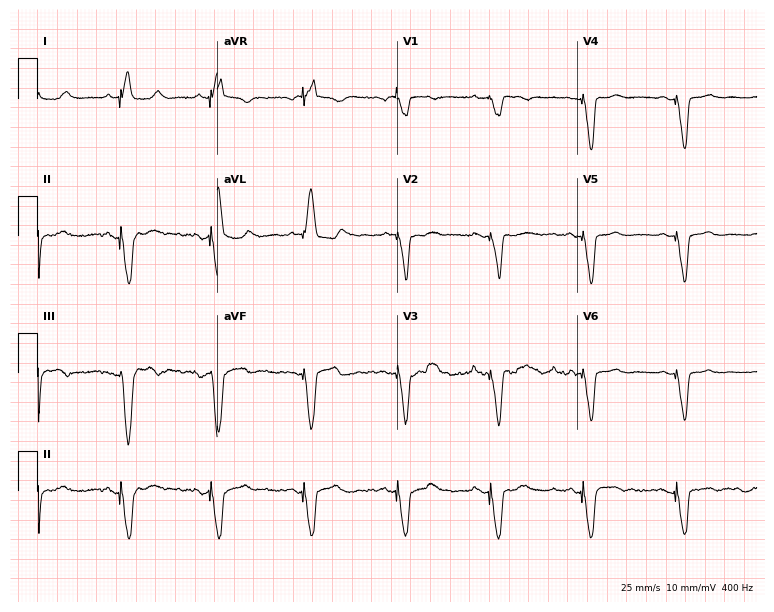
12-lead ECG from an 85-year-old male patient (7.3-second recording at 400 Hz). No first-degree AV block, right bundle branch block, left bundle branch block, sinus bradycardia, atrial fibrillation or sinus tachycardia recorded for this tracing.